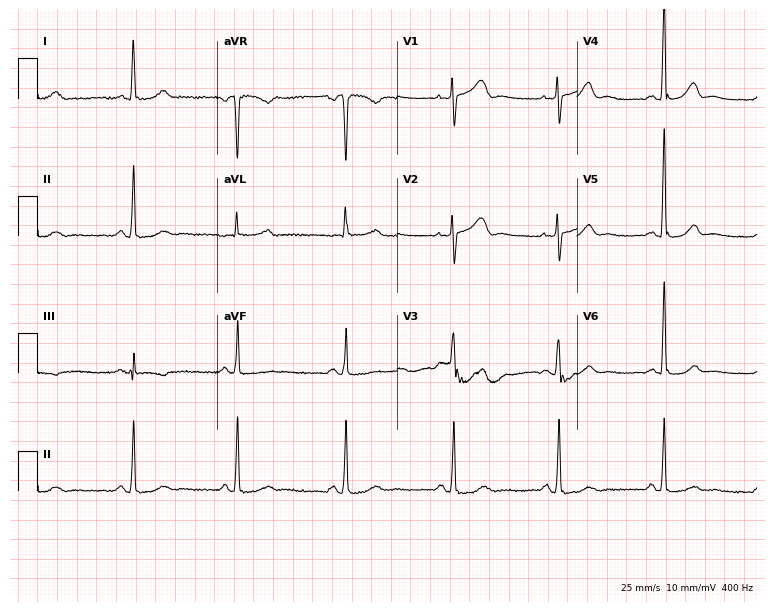
ECG — a male patient, 76 years old. Screened for six findings — first-degree AV block, right bundle branch block (RBBB), left bundle branch block (LBBB), sinus bradycardia, atrial fibrillation (AF), sinus tachycardia — none is recorded.